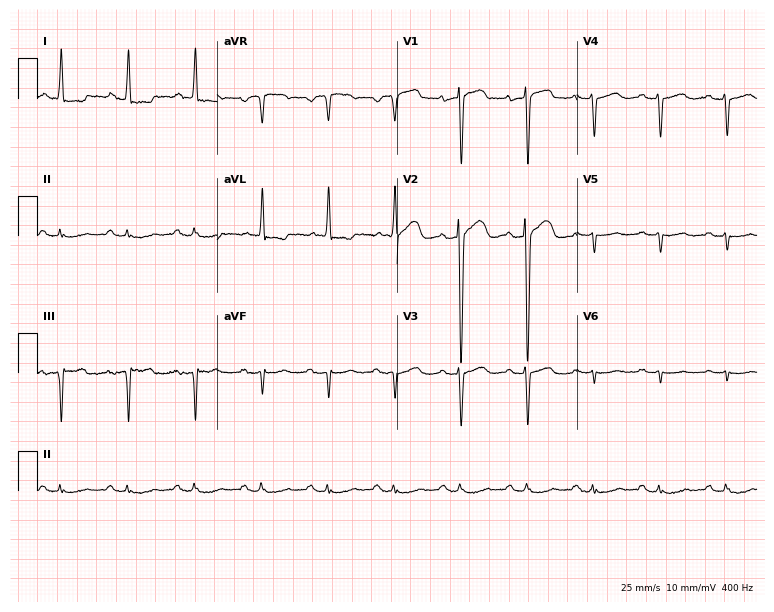
ECG — a female patient, 69 years old. Screened for six findings — first-degree AV block, right bundle branch block (RBBB), left bundle branch block (LBBB), sinus bradycardia, atrial fibrillation (AF), sinus tachycardia — none is recorded.